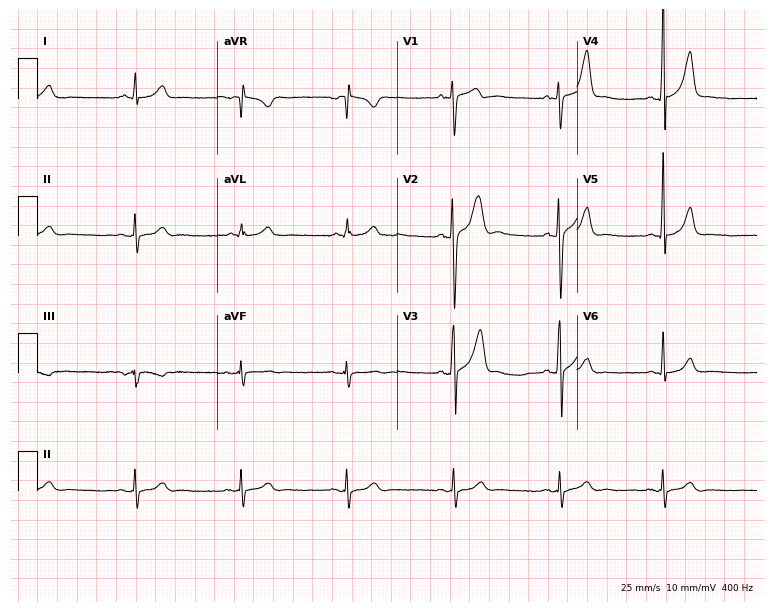
12-lead ECG from a 21-year-old man (7.3-second recording at 400 Hz). No first-degree AV block, right bundle branch block, left bundle branch block, sinus bradycardia, atrial fibrillation or sinus tachycardia recorded for this tracing.